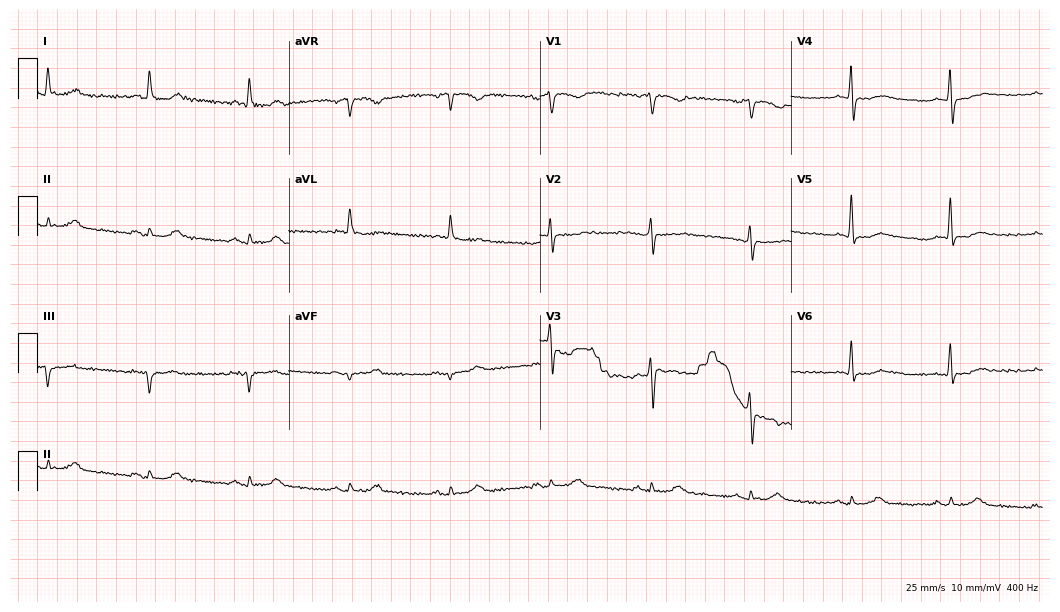
12-lead ECG from a 69-year-old man (10.2-second recording at 400 Hz). No first-degree AV block, right bundle branch block, left bundle branch block, sinus bradycardia, atrial fibrillation or sinus tachycardia recorded for this tracing.